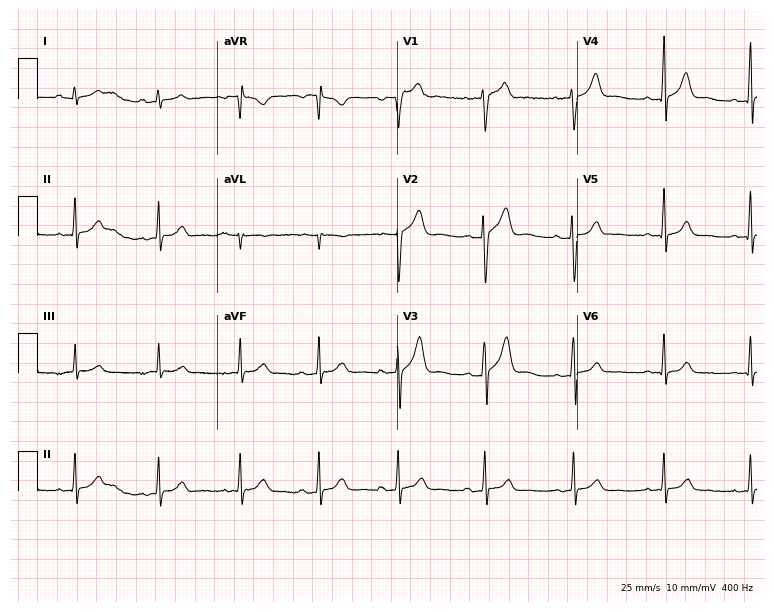
Standard 12-lead ECG recorded from a male, 26 years old (7.3-second recording at 400 Hz). Read as a normal ECG.